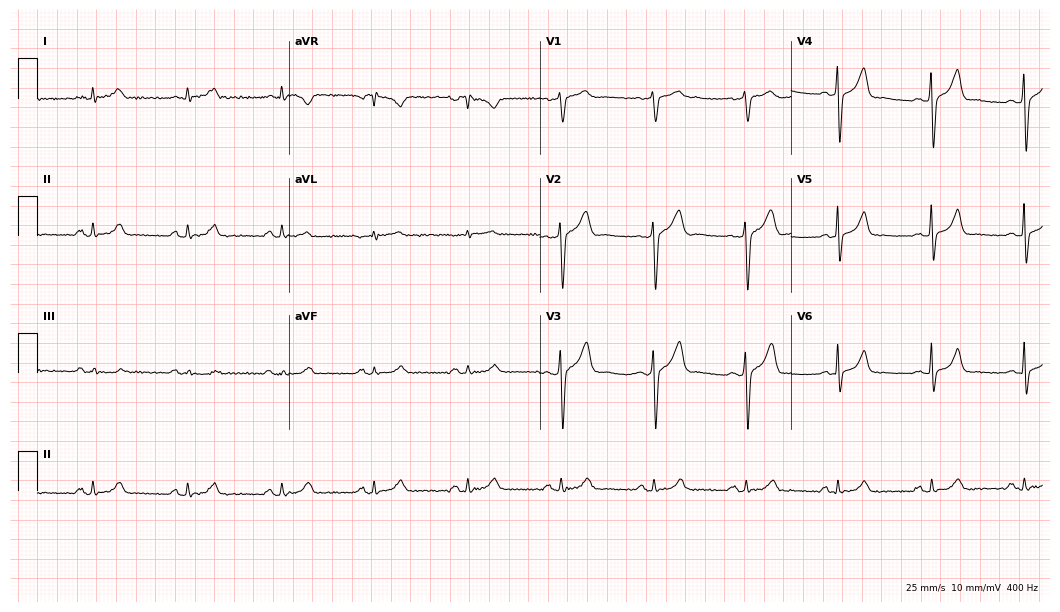
ECG (10.2-second recording at 400 Hz) — a 54-year-old man. Screened for six findings — first-degree AV block, right bundle branch block, left bundle branch block, sinus bradycardia, atrial fibrillation, sinus tachycardia — none is recorded. Other findings, if any, are not listed.